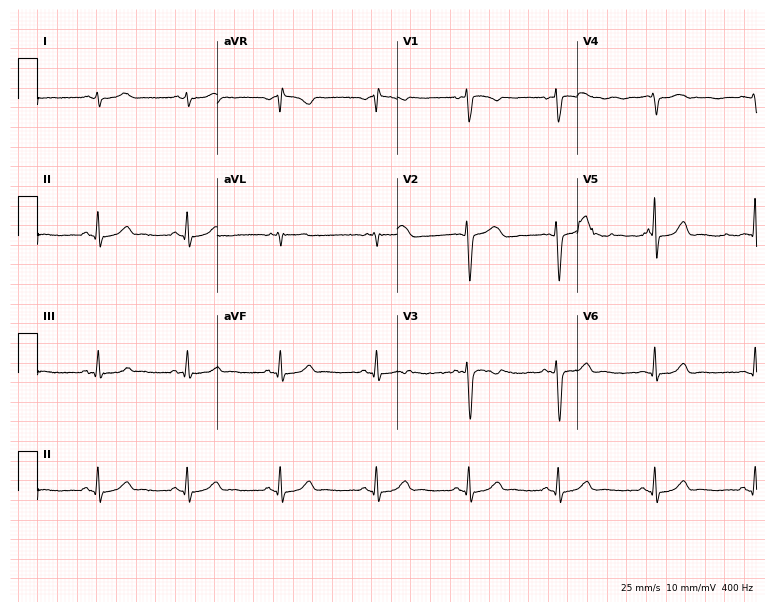
Resting 12-lead electrocardiogram. Patient: a 35-year-old woman. Read as a normal ECG.